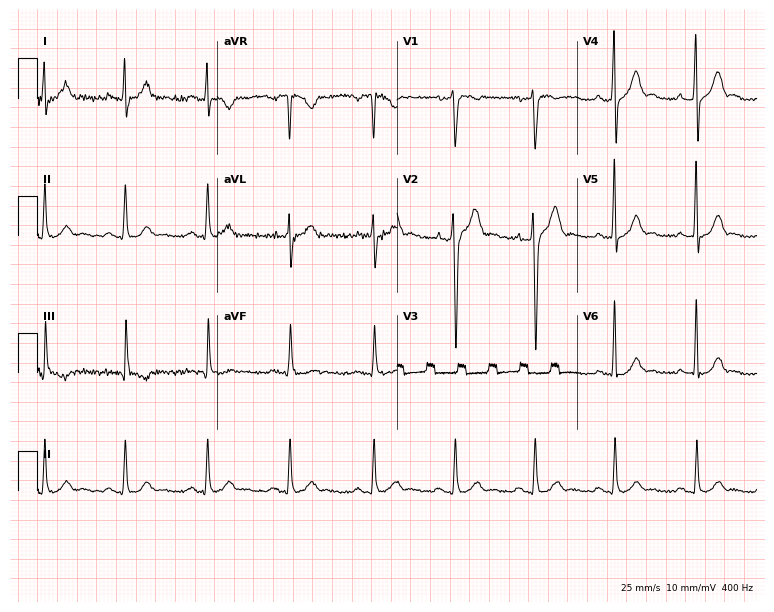
Electrocardiogram, a male patient, 28 years old. Of the six screened findings (first-degree AV block, right bundle branch block, left bundle branch block, sinus bradycardia, atrial fibrillation, sinus tachycardia), none is recorded. Other findings, if any, are not listed.